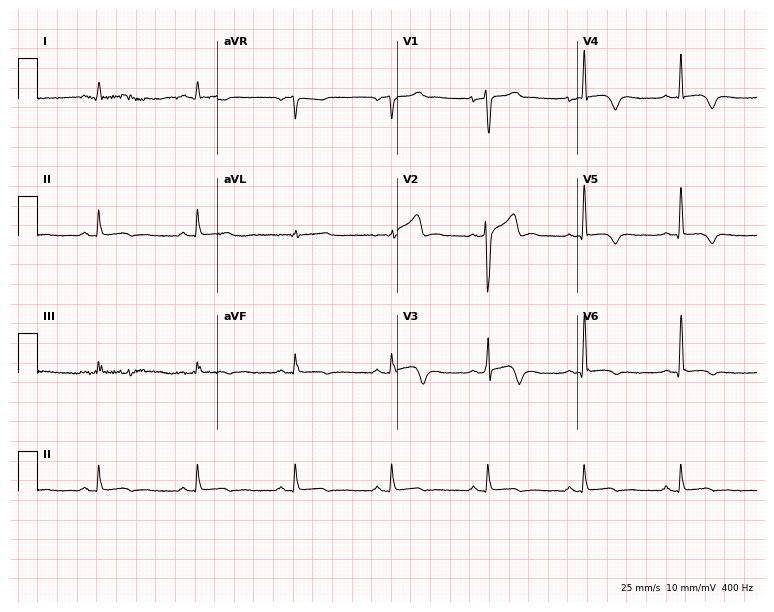
12-lead ECG from a 47-year-old male (7.3-second recording at 400 Hz). No first-degree AV block, right bundle branch block, left bundle branch block, sinus bradycardia, atrial fibrillation or sinus tachycardia recorded for this tracing. Only these six findings were labelled.